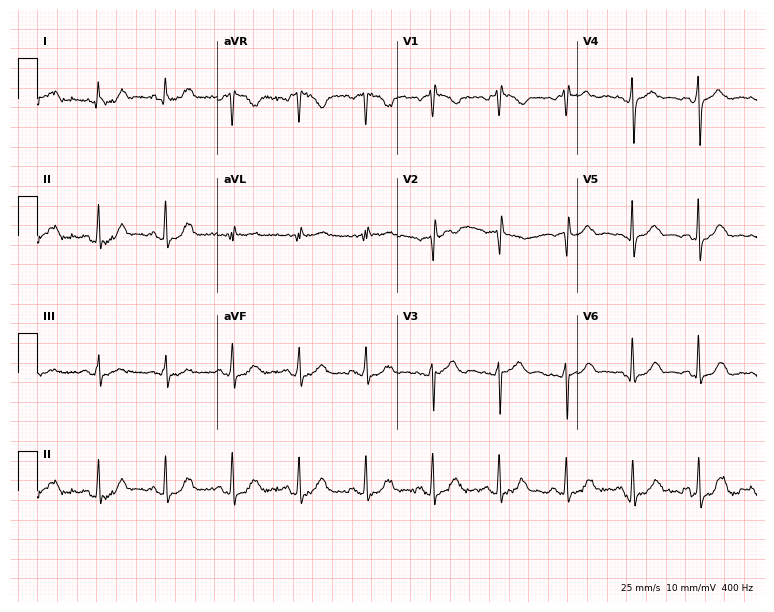
Standard 12-lead ECG recorded from a 65-year-old female patient. Read as a normal ECG.